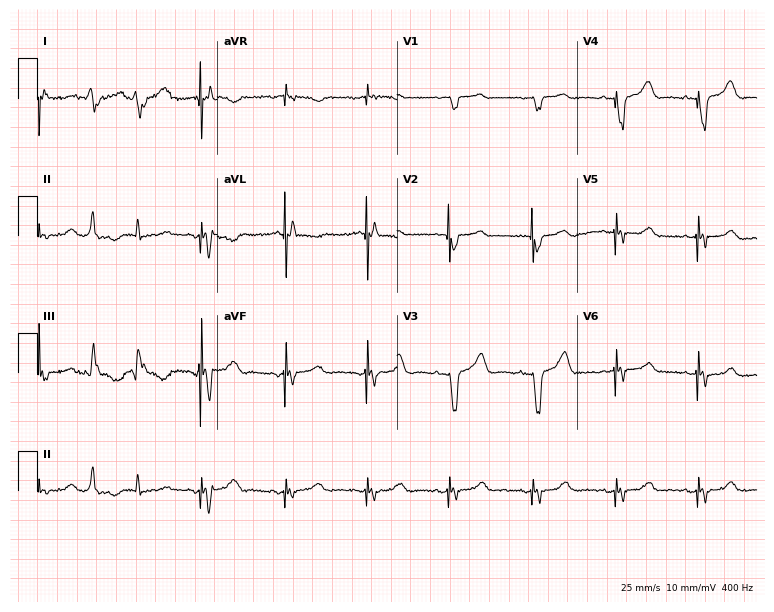
12-lead ECG from a 67-year-old female patient. No first-degree AV block, right bundle branch block, left bundle branch block, sinus bradycardia, atrial fibrillation or sinus tachycardia recorded for this tracing. Findings outside these six are not listed.